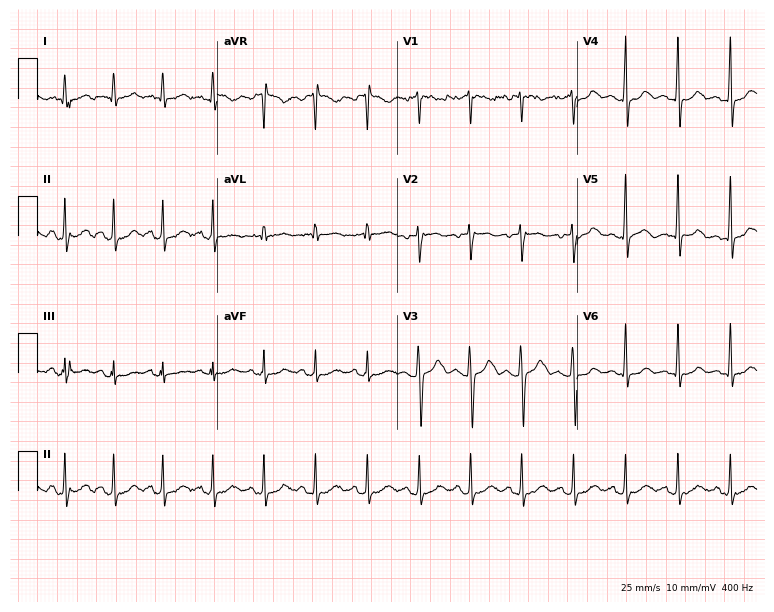
ECG — a female patient, 35 years old. Findings include sinus tachycardia (a sinus rate of 100 beats per minute or more).